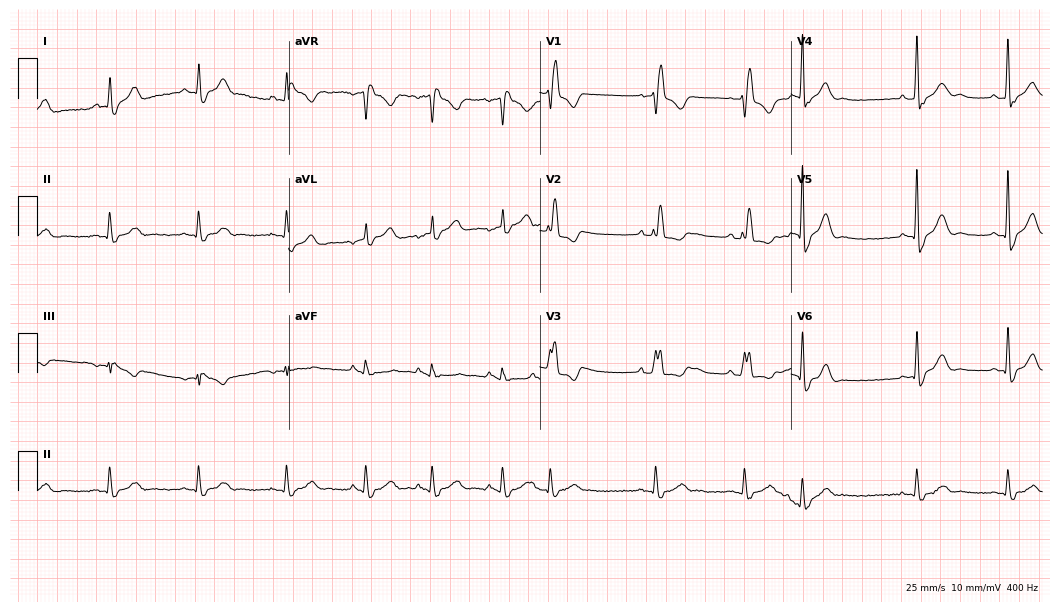
Standard 12-lead ECG recorded from a man, 79 years old (10.2-second recording at 400 Hz). The tracing shows right bundle branch block (RBBB).